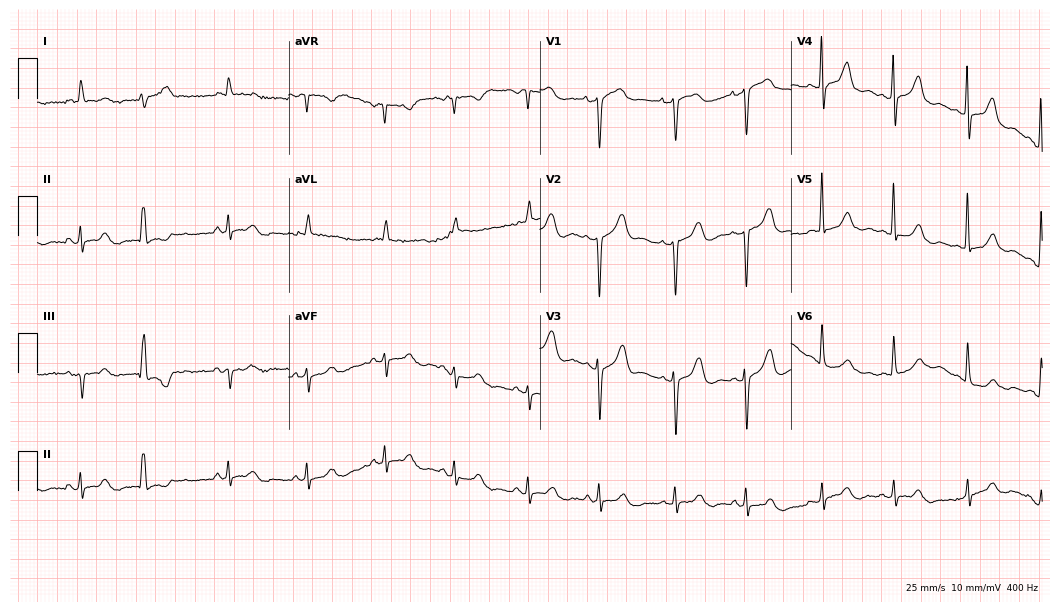
ECG (10.2-second recording at 400 Hz) — a 76-year-old woman. Screened for six findings — first-degree AV block, right bundle branch block, left bundle branch block, sinus bradycardia, atrial fibrillation, sinus tachycardia — none is recorded. Other findings, if any, are not listed.